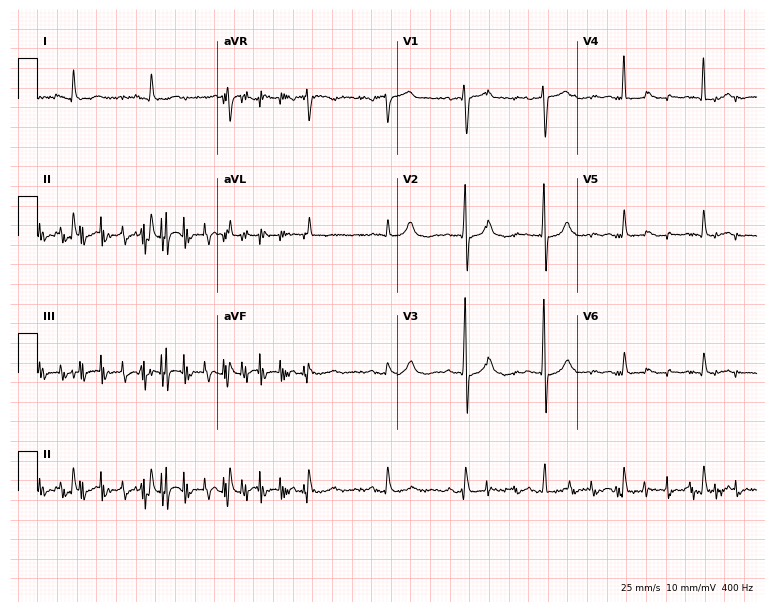
12-lead ECG from a 71-year-old female. No first-degree AV block, right bundle branch block (RBBB), left bundle branch block (LBBB), sinus bradycardia, atrial fibrillation (AF) or sinus tachycardia recorded for this tracing.